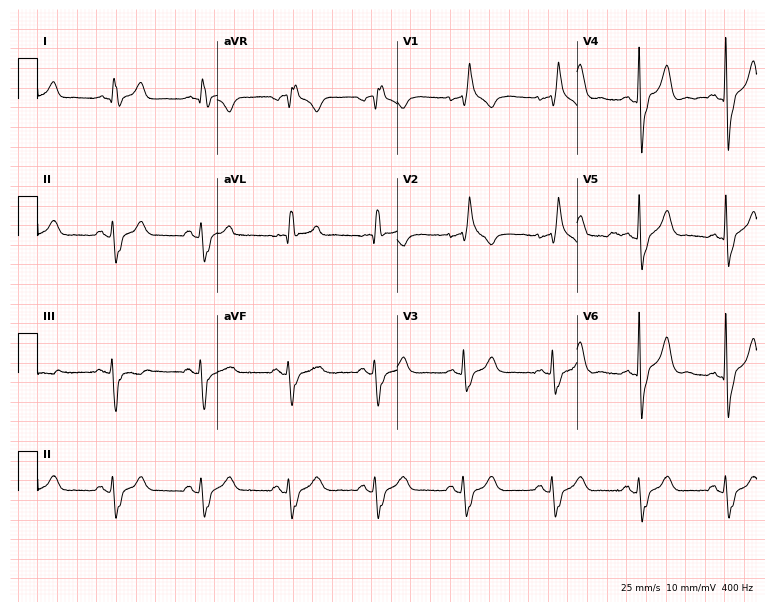
12-lead ECG from a 74-year-old male patient (7.3-second recording at 400 Hz). Shows right bundle branch block (RBBB).